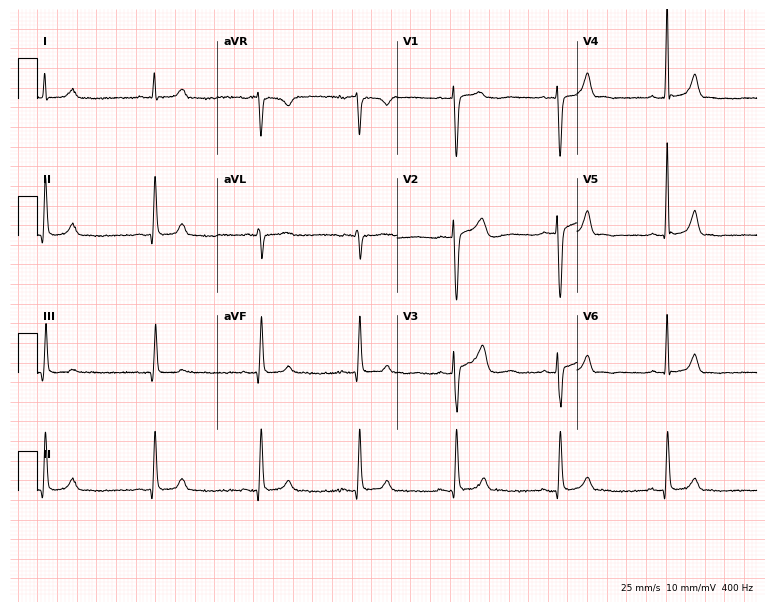
Resting 12-lead electrocardiogram. Patient: a 46-year-old male. None of these six findings is recorded: first-degree AV block, right bundle branch block, left bundle branch block, sinus bradycardia, atrial fibrillation, sinus tachycardia. Other findings, if any, are not listed.